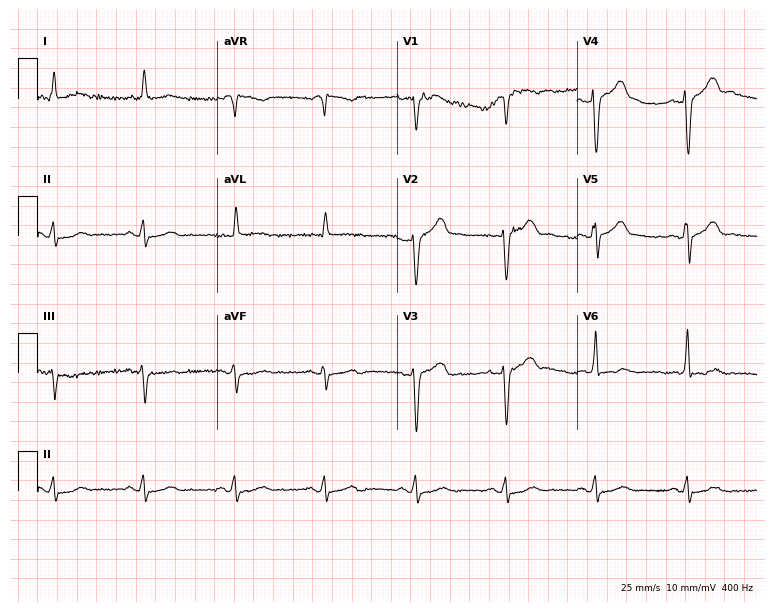
Electrocardiogram (7.3-second recording at 400 Hz), a 79-year-old man. Of the six screened findings (first-degree AV block, right bundle branch block, left bundle branch block, sinus bradycardia, atrial fibrillation, sinus tachycardia), none is recorded. Other findings, if any, are not listed.